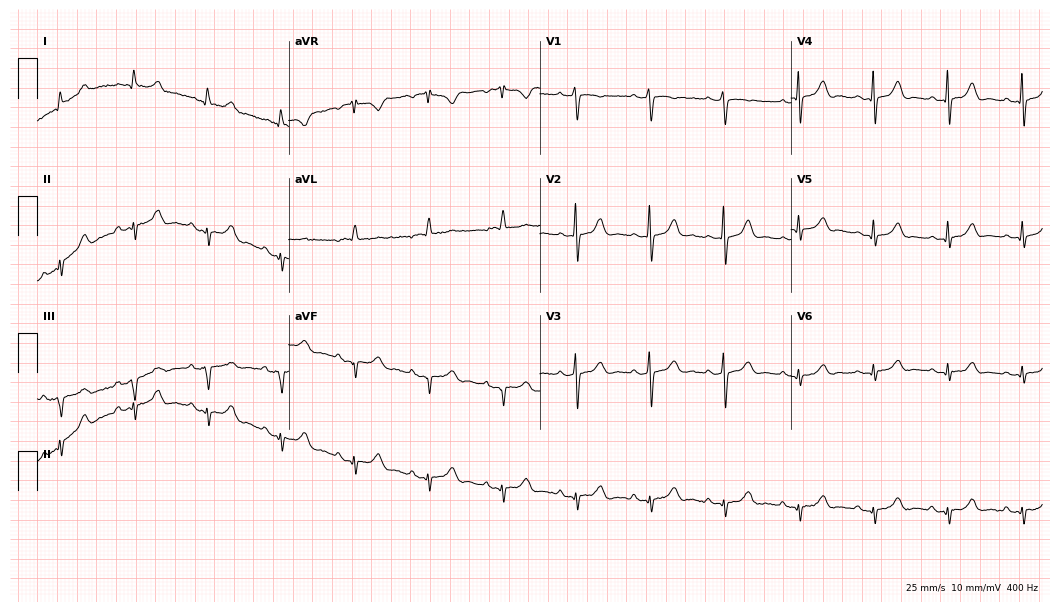
Standard 12-lead ECG recorded from a male patient, 78 years old (10.2-second recording at 400 Hz). None of these six findings is recorded: first-degree AV block, right bundle branch block, left bundle branch block, sinus bradycardia, atrial fibrillation, sinus tachycardia.